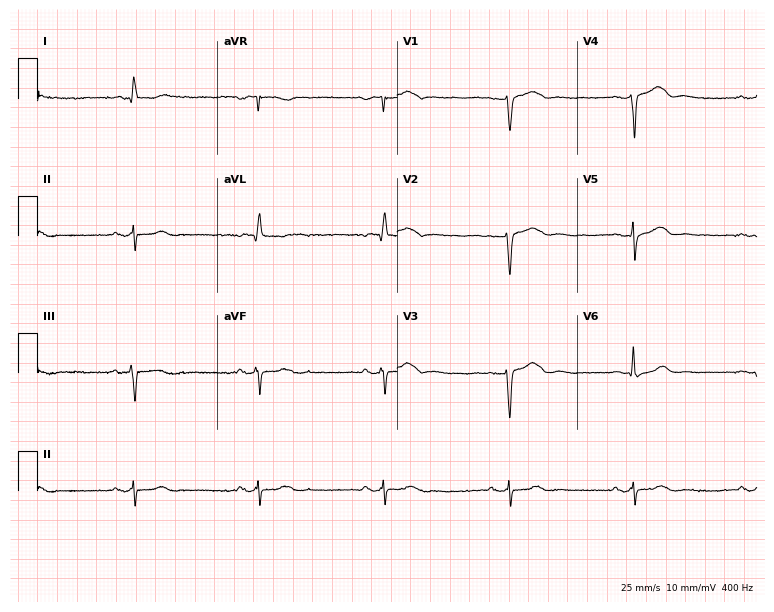
12-lead ECG (7.3-second recording at 400 Hz) from a 76-year-old man. Screened for six findings — first-degree AV block, right bundle branch block, left bundle branch block, sinus bradycardia, atrial fibrillation, sinus tachycardia — none is recorded. Other findings, if any, are not listed.